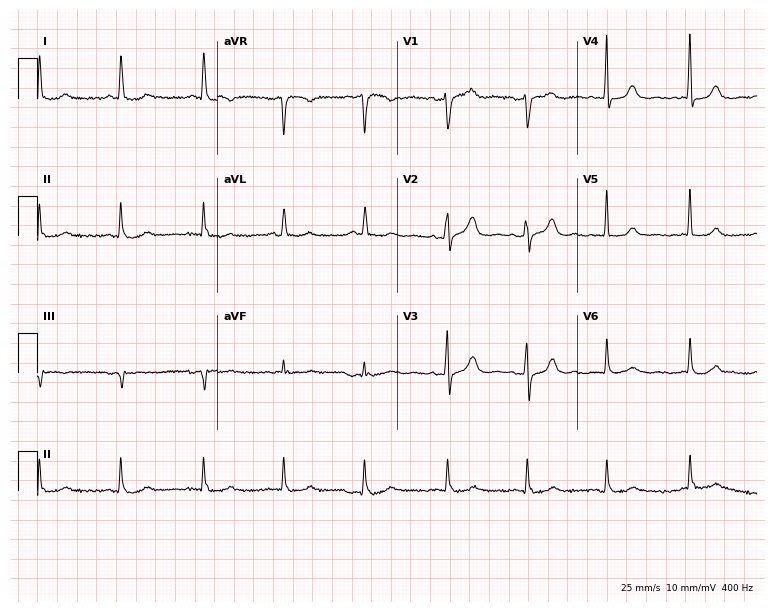
Standard 12-lead ECG recorded from a female, 90 years old or older. None of these six findings is recorded: first-degree AV block, right bundle branch block, left bundle branch block, sinus bradycardia, atrial fibrillation, sinus tachycardia.